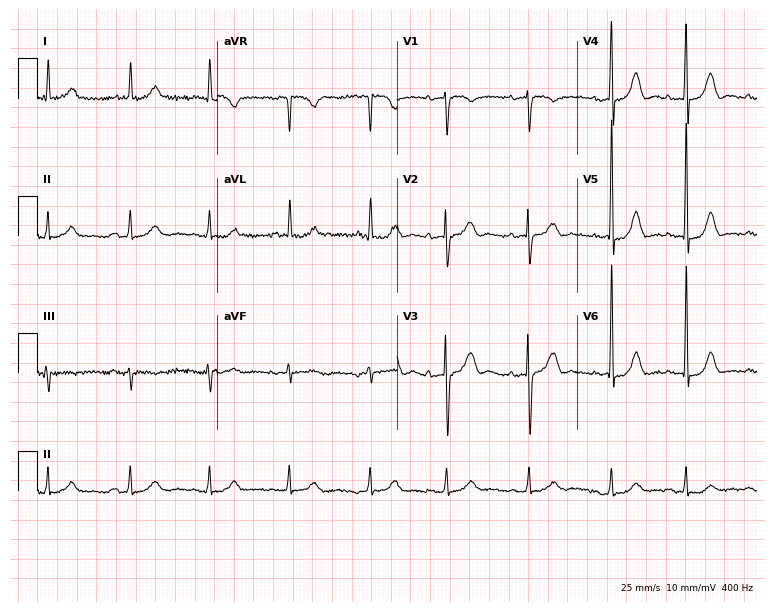
Electrocardiogram, a male, 63 years old. Overall reading on record: normal ECG.